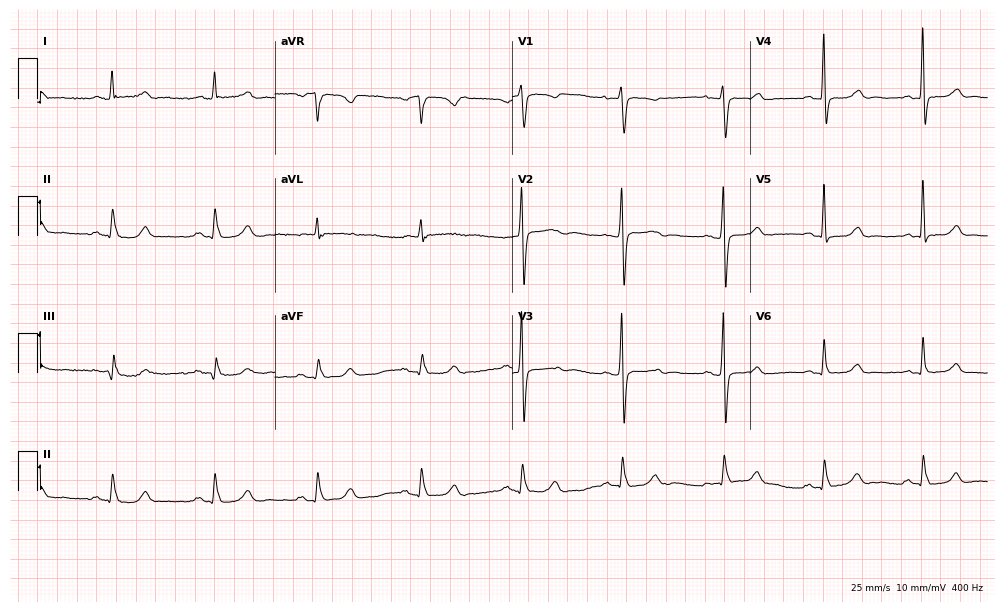
ECG — a woman, 62 years old. Labelled as a normal ECG.